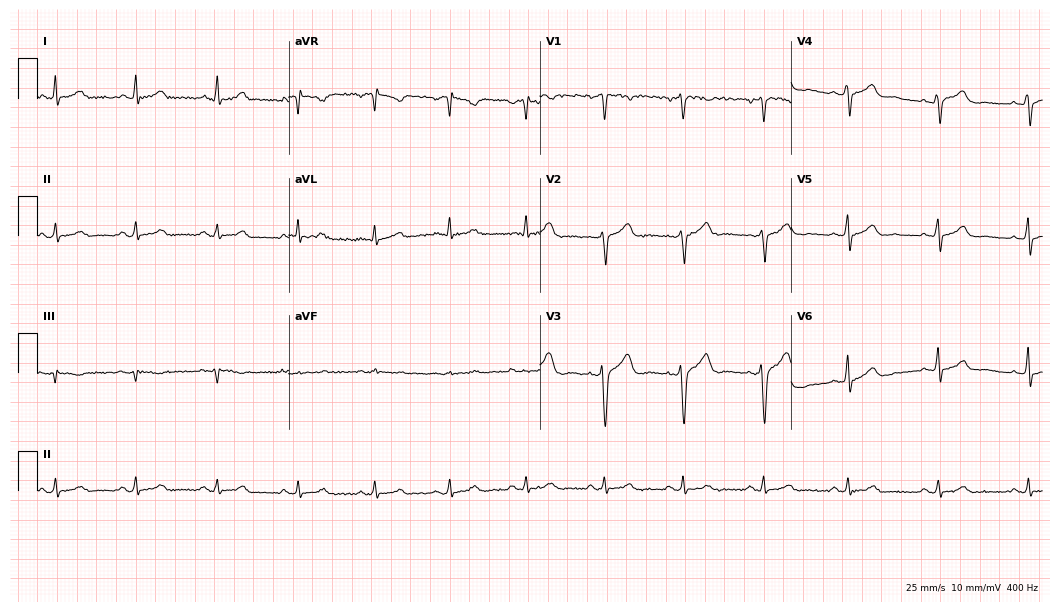
Standard 12-lead ECG recorded from a 40-year-old man. Read as a normal ECG.